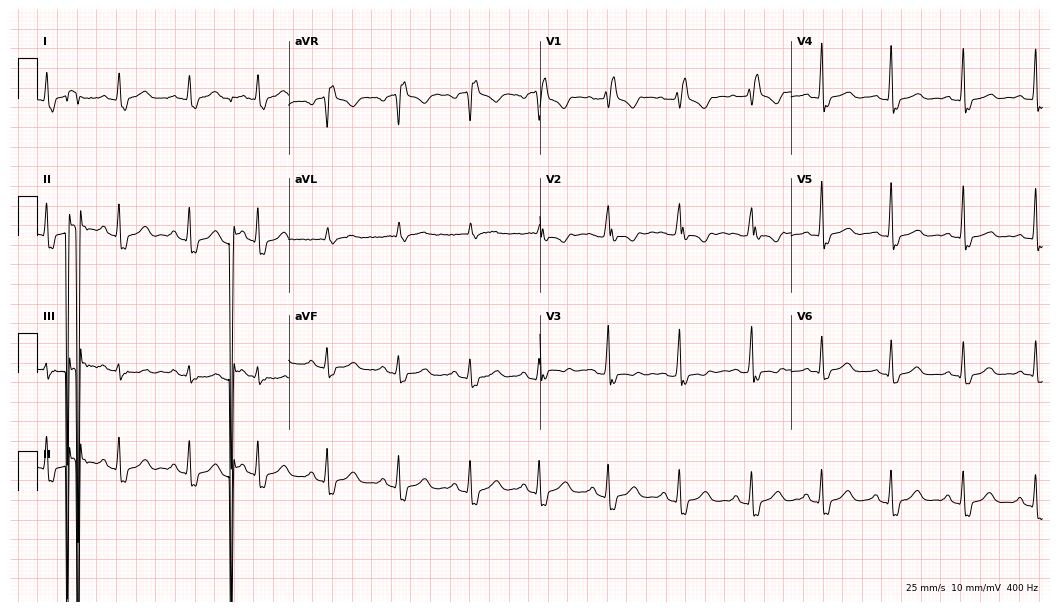
ECG (10.2-second recording at 400 Hz) — a female, 37 years old. Screened for six findings — first-degree AV block, right bundle branch block, left bundle branch block, sinus bradycardia, atrial fibrillation, sinus tachycardia — none is recorded.